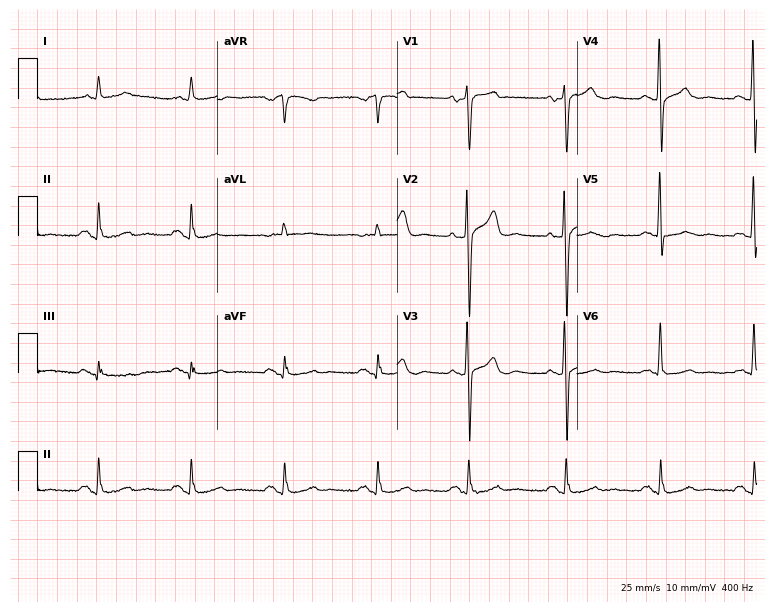
12-lead ECG from an 80-year-old male patient (7.3-second recording at 400 Hz). Recorded interpretation: within normal limits.